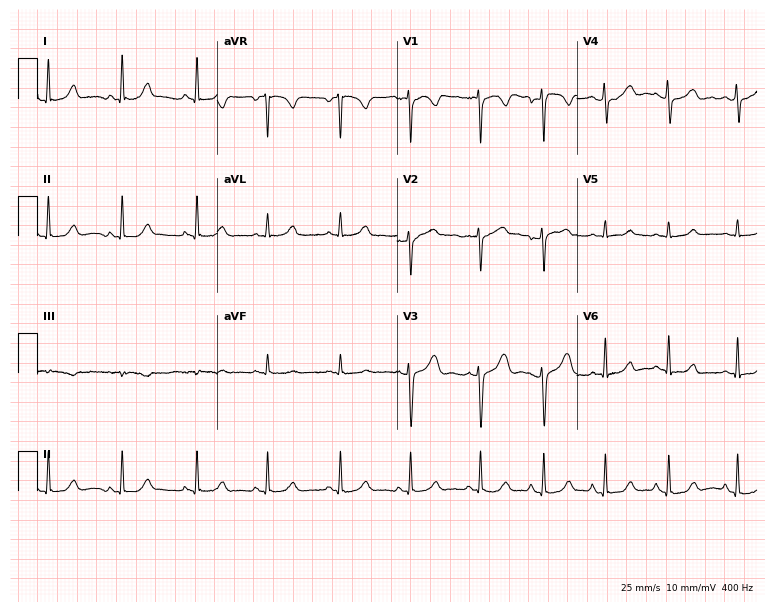
Standard 12-lead ECG recorded from a female, 21 years old. Read as a normal ECG.